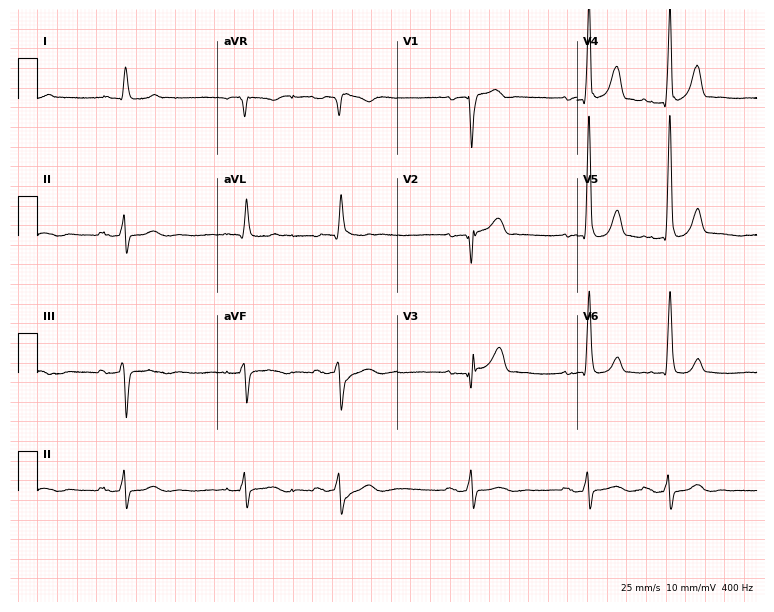
12-lead ECG from a male patient, 86 years old. No first-degree AV block, right bundle branch block, left bundle branch block, sinus bradycardia, atrial fibrillation or sinus tachycardia recorded for this tracing. Only these six findings were labelled.